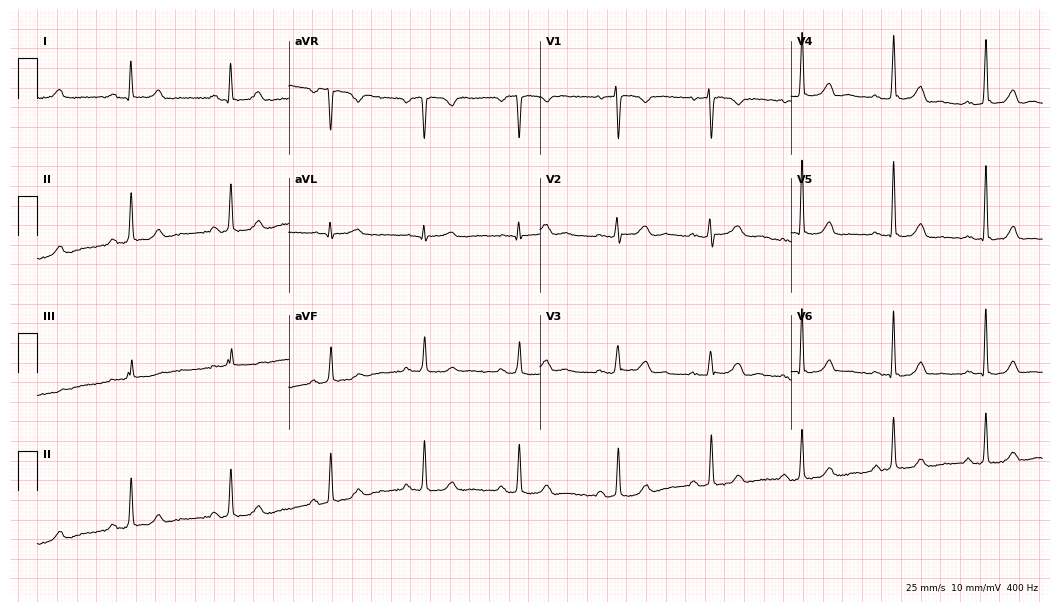
12-lead ECG (10.2-second recording at 400 Hz) from a 26-year-old female. Labelled as a normal ECG.